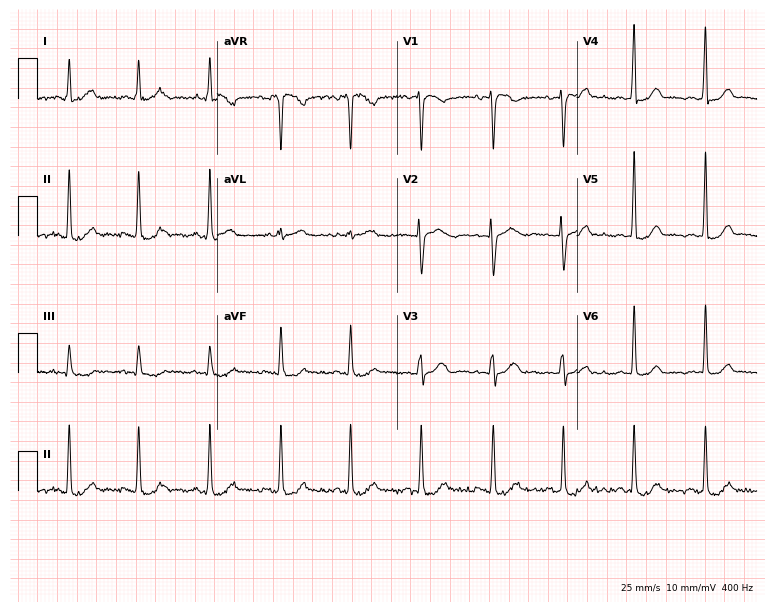
Resting 12-lead electrocardiogram. Patient: a 39-year-old woman. Read as a normal ECG.